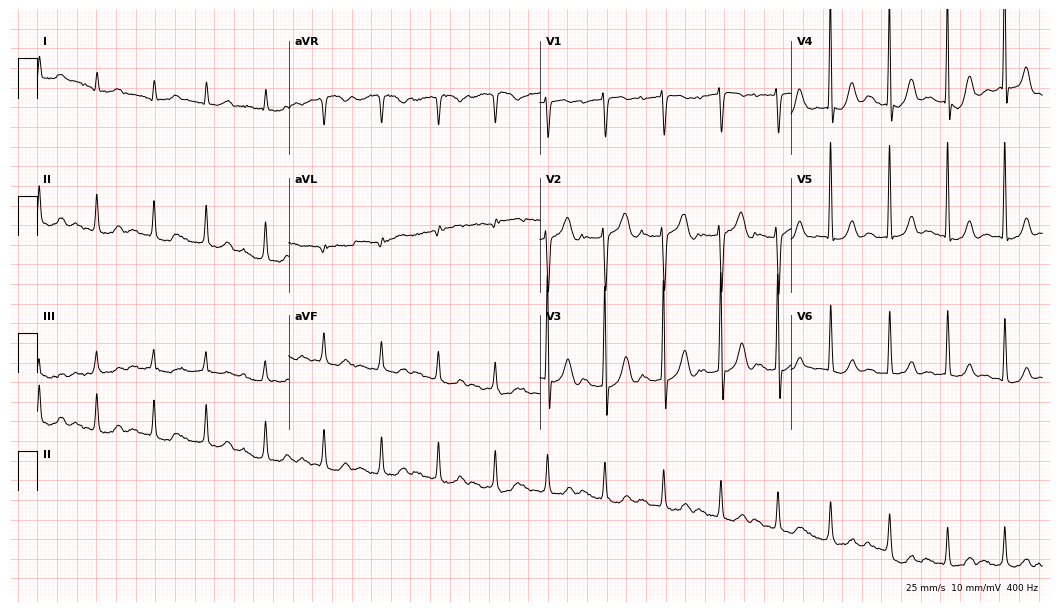
Resting 12-lead electrocardiogram (10.2-second recording at 400 Hz). Patient: an 85-year-old woman. The tracing shows first-degree AV block, sinus tachycardia (a sinus rate of 100 beats per minute or more).